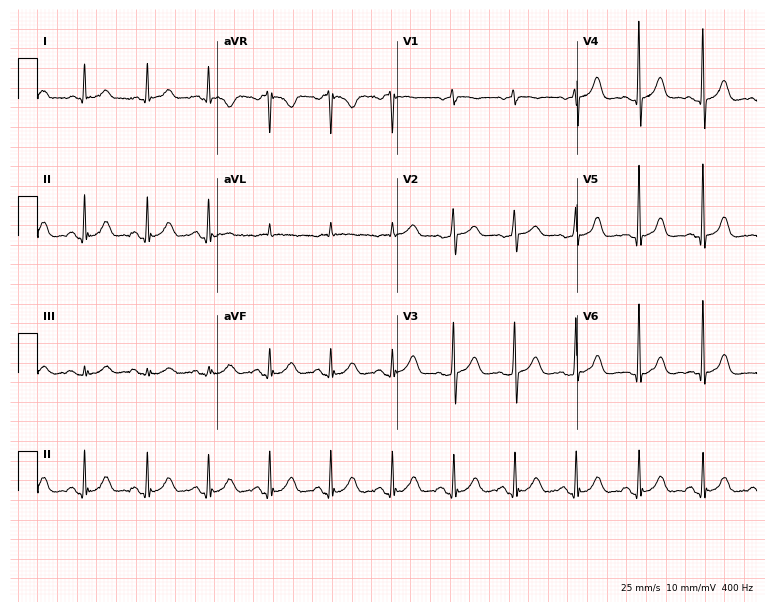
12-lead ECG (7.3-second recording at 400 Hz) from an 80-year-old woman. Labelled as a normal ECG.